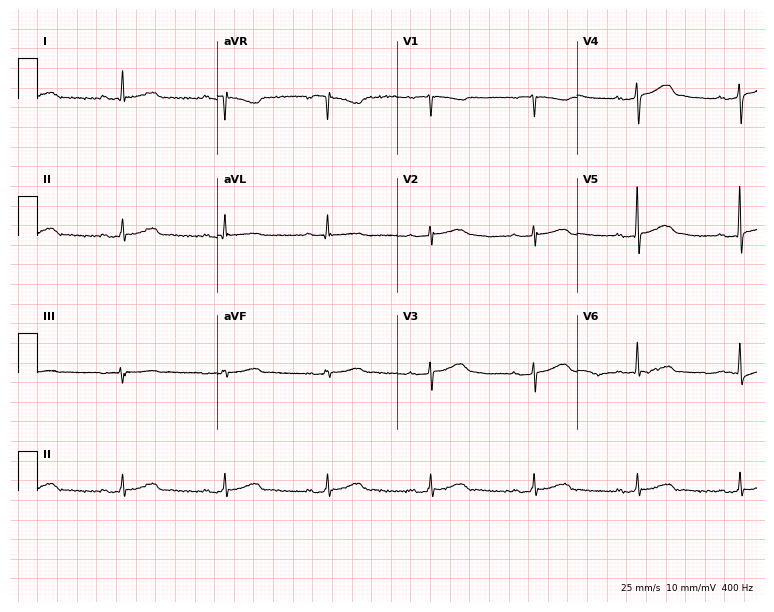
Resting 12-lead electrocardiogram. Patient: a male, 64 years old. None of these six findings is recorded: first-degree AV block, right bundle branch block, left bundle branch block, sinus bradycardia, atrial fibrillation, sinus tachycardia.